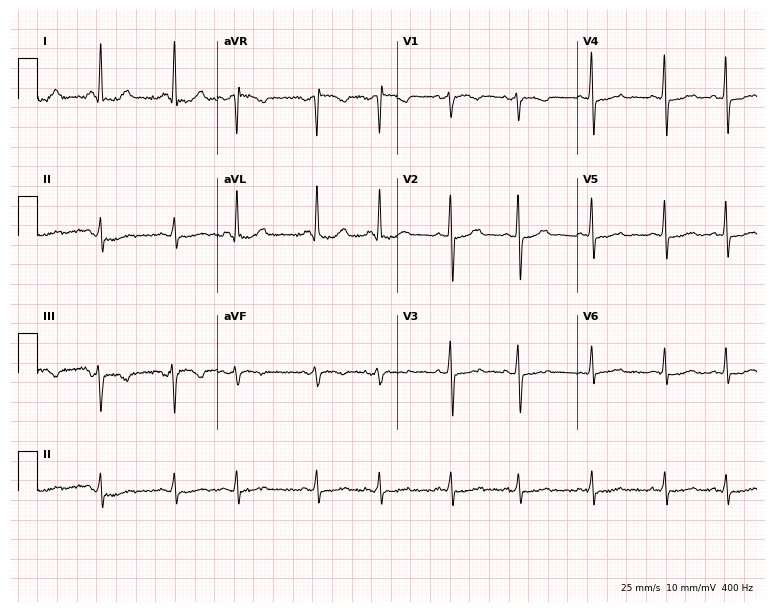
12-lead ECG from a woman, 76 years old. No first-degree AV block, right bundle branch block (RBBB), left bundle branch block (LBBB), sinus bradycardia, atrial fibrillation (AF) or sinus tachycardia recorded for this tracing. Findings outside these six are not listed.